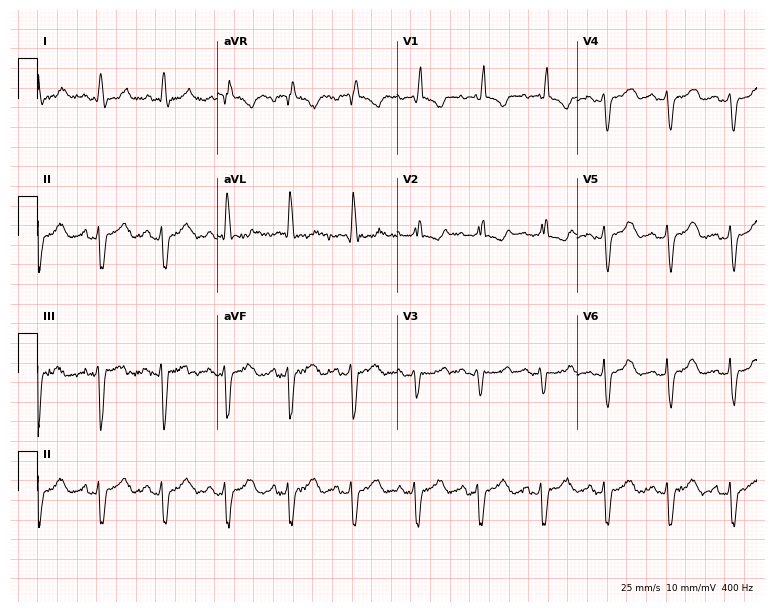
12-lead ECG from an 85-year-old female patient (7.3-second recording at 400 Hz). Shows right bundle branch block (RBBB).